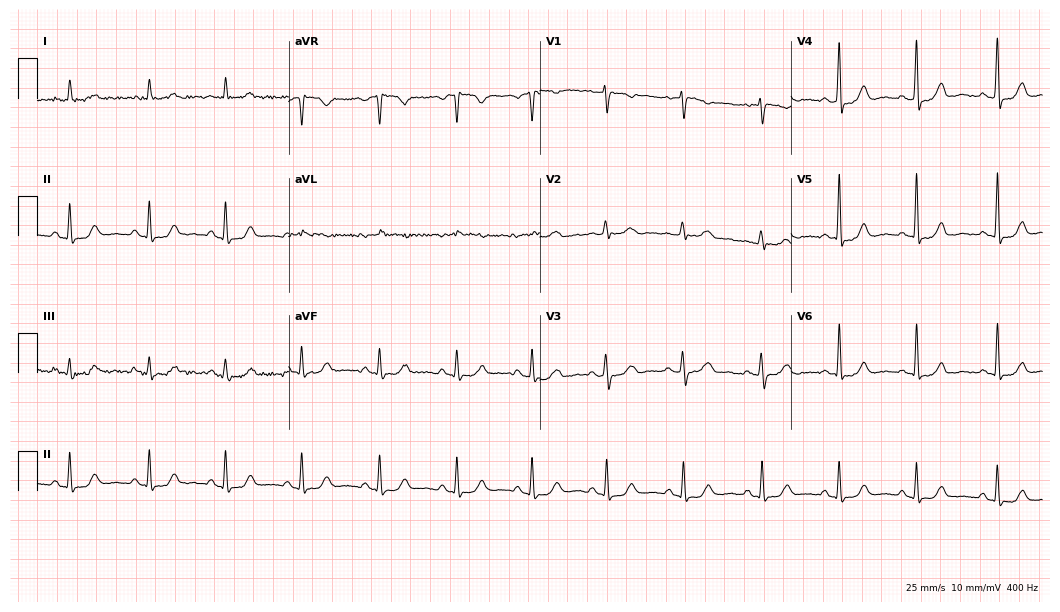
Resting 12-lead electrocardiogram. Patient: a 49-year-old female. Read as a normal ECG.